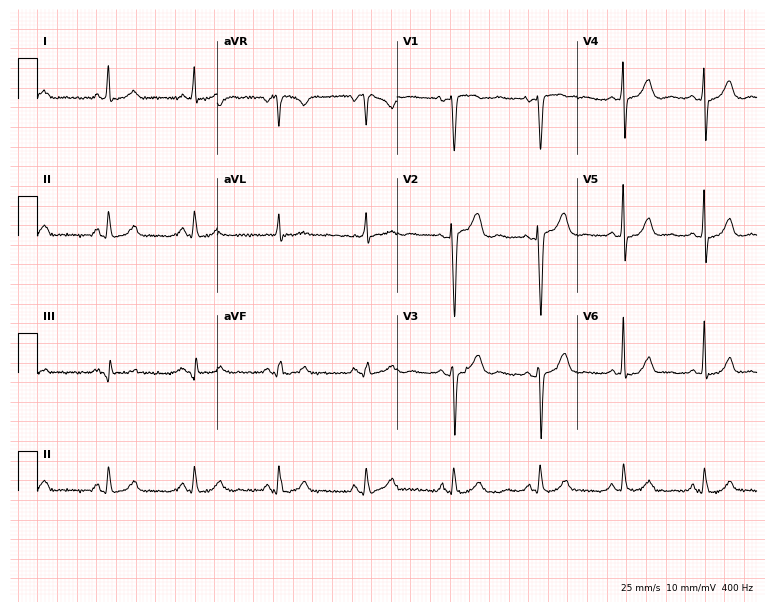
Resting 12-lead electrocardiogram (7.3-second recording at 400 Hz). Patient: a female, 59 years old. Read as a normal ECG.